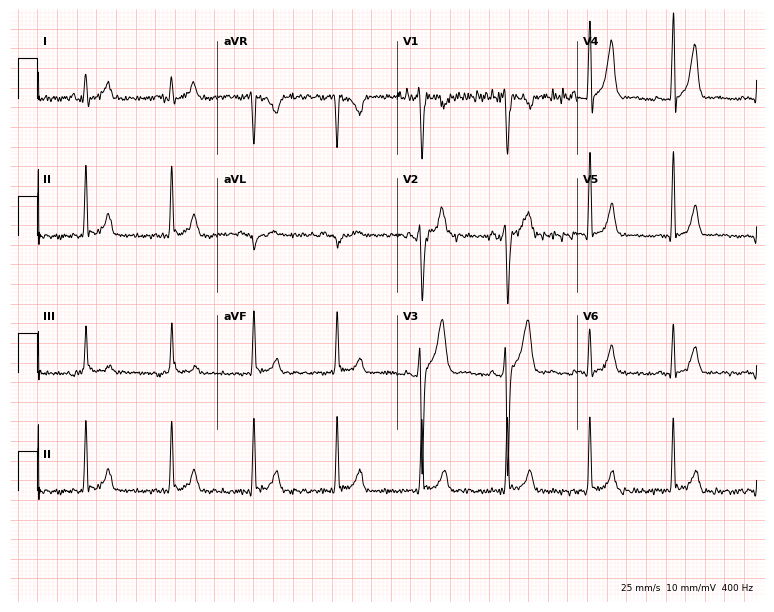
Electrocardiogram (7.3-second recording at 400 Hz), a 29-year-old man. Of the six screened findings (first-degree AV block, right bundle branch block, left bundle branch block, sinus bradycardia, atrial fibrillation, sinus tachycardia), none is recorded. Only these six findings were labelled.